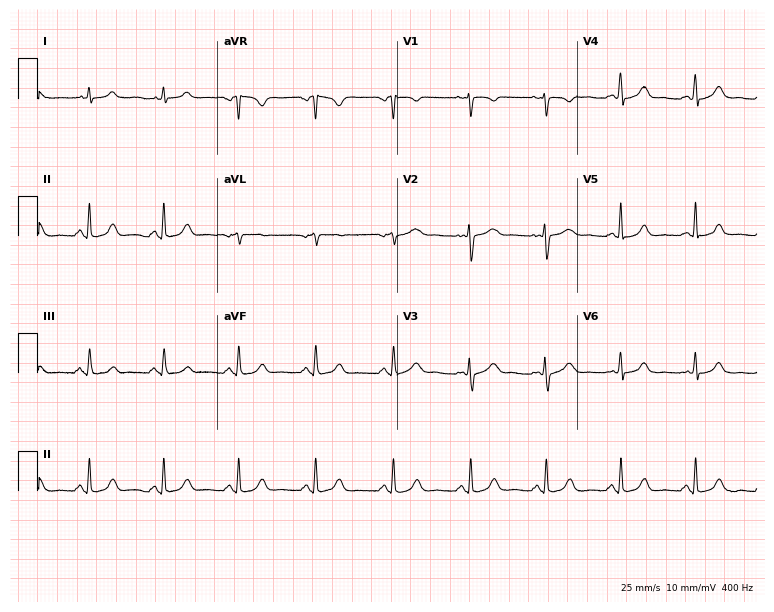
12-lead ECG from a 40-year-old female. Screened for six findings — first-degree AV block, right bundle branch block, left bundle branch block, sinus bradycardia, atrial fibrillation, sinus tachycardia — none is recorded. Only these six findings were labelled.